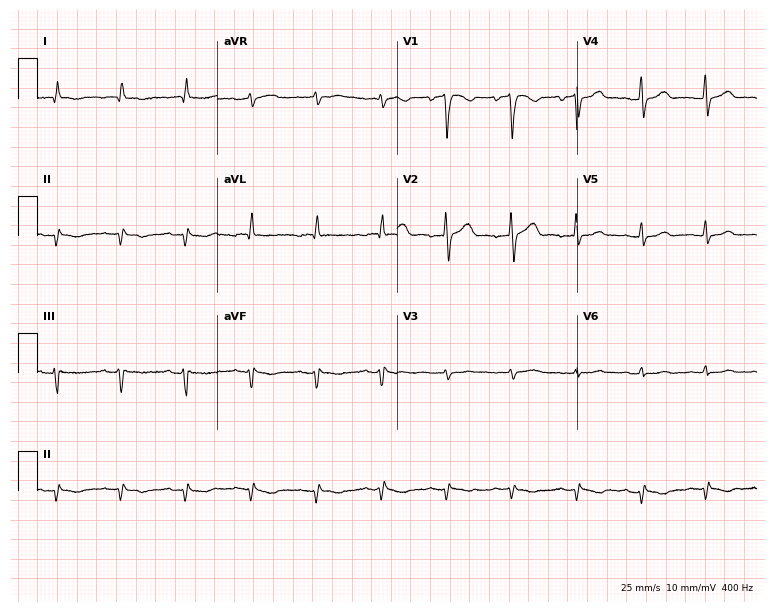
ECG (7.3-second recording at 400 Hz) — a 72-year-old female. Screened for six findings — first-degree AV block, right bundle branch block, left bundle branch block, sinus bradycardia, atrial fibrillation, sinus tachycardia — none is recorded.